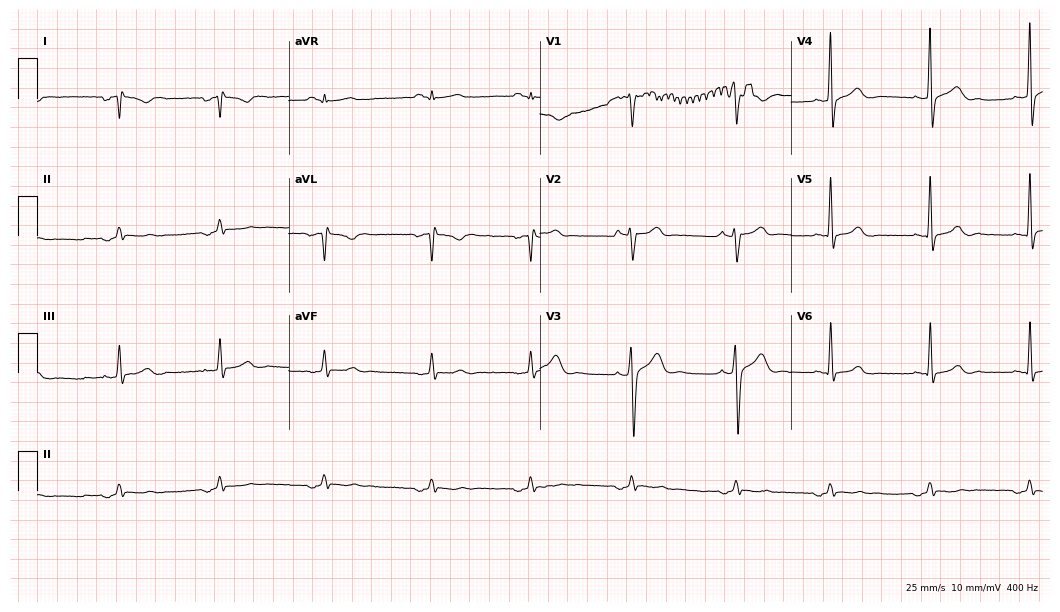
Standard 12-lead ECG recorded from a male patient, 42 years old. None of these six findings is recorded: first-degree AV block, right bundle branch block (RBBB), left bundle branch block (LBBB), sinus bradycardia, atrial fibrillation (AF), sinus tachycardia.